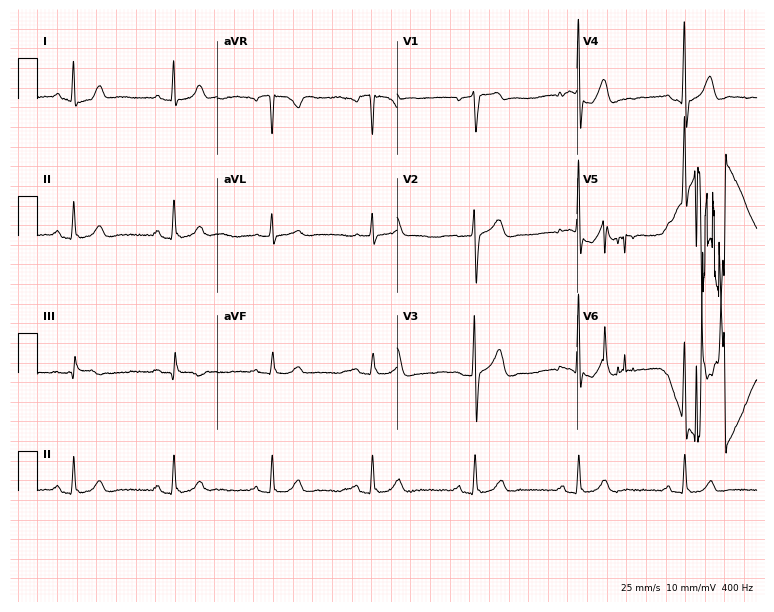
Resting 12-lead electrocardiogram (7.3-second recording at 400 Hz). Patient: a 74-year-old man. Read as a normal ECG.